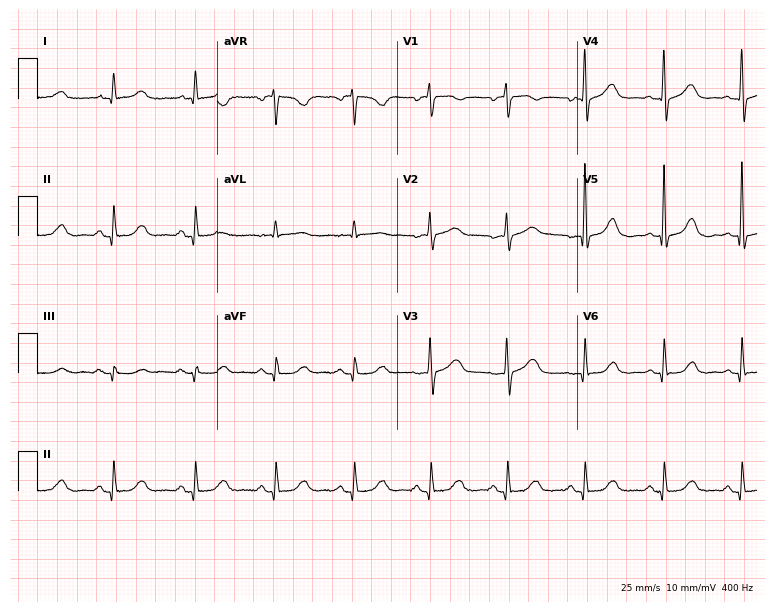
Electrocardiogram, a female patient, 51 years old. Overall reading on record: normal ECG.